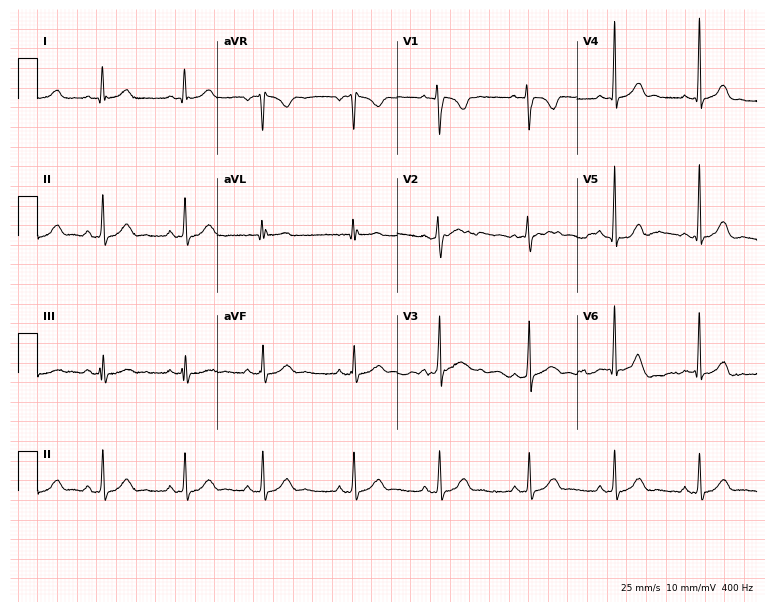
ECG — a female patient, 18 years old. Labelled as a normal ECG.